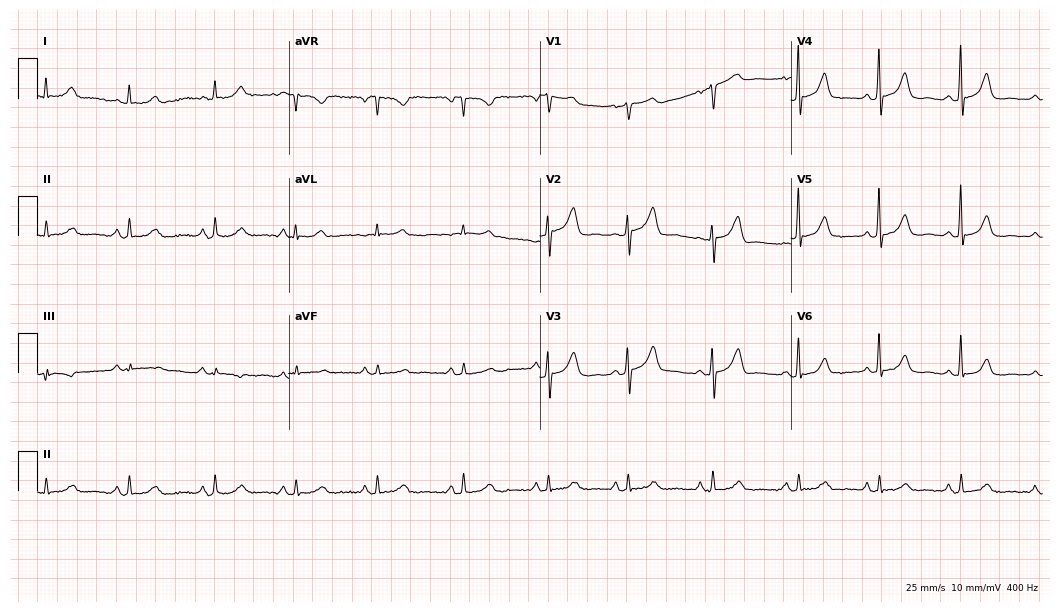
12-lead ECG from a 77-year-old female patient. Recorded interpretation: within normal limits.